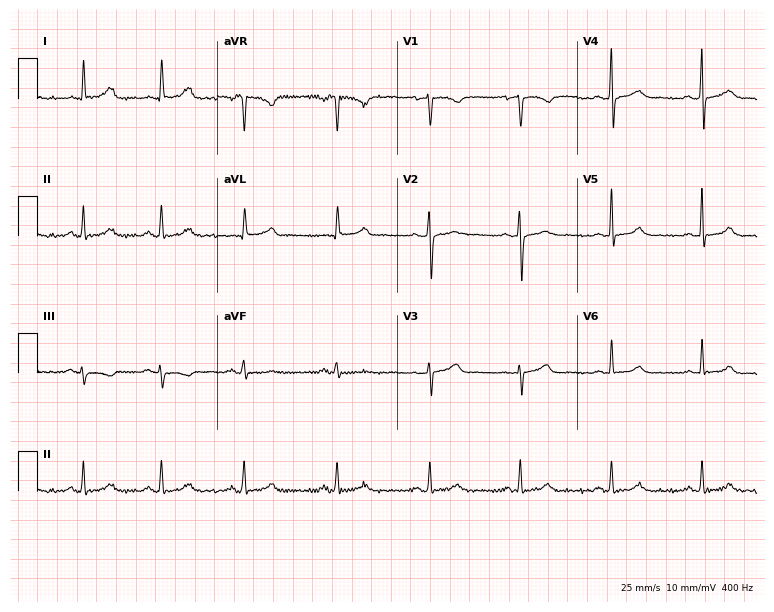
Electrocardiogram (7.3-second recording at 400 Hz), a woman, 33 years old. Overall reading on record: normal ECG.